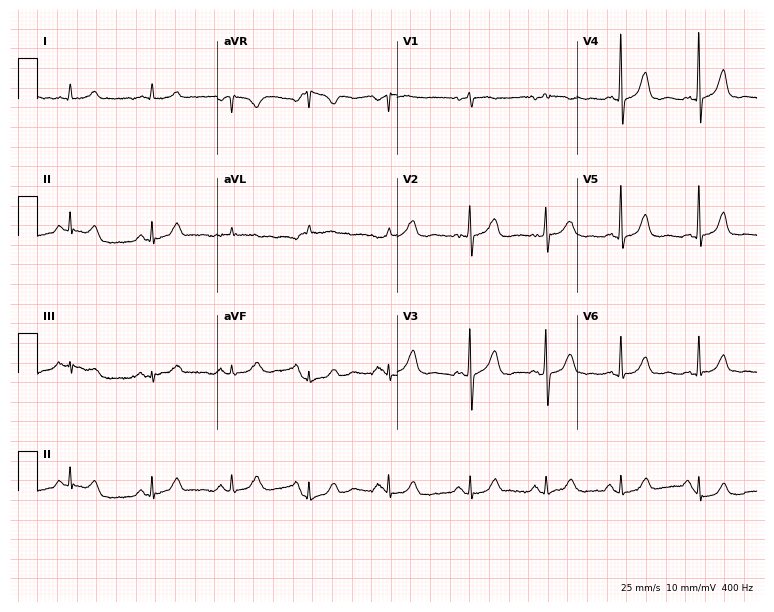
Standard 12-lead ECG recorded from a 79-year-old female patient. None of these six findings is recorded: first-degree AV block, right bundle branch block, left bundle branch block, sinus bradycardia, atrial fibrillation, sinus tachycardia. Other findings, if any, are not listed.